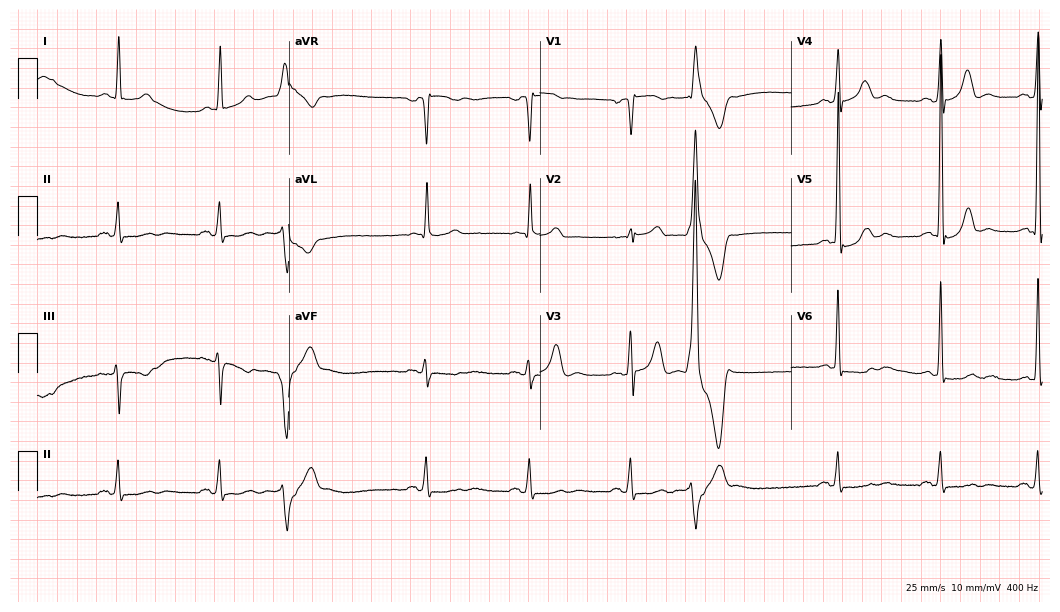
12-lead ECG from a male patient, 67 years old (10.2-second recording at 400 Hz). No first-degree AV block, right bundle branch block, left bundle branch block, sinus bradycardia, atrial fibrillation or sinus tachycardia recorded for this tracing.